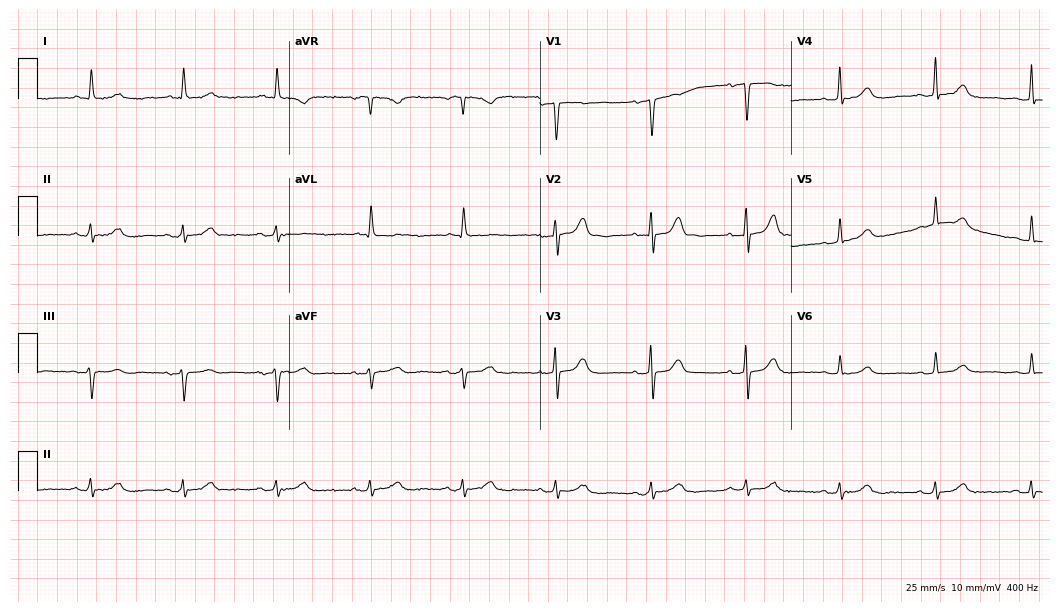
ECG (10.2-second recording at 400 Hz) — a woman, 85 years old. Labelled as a normal ECG.